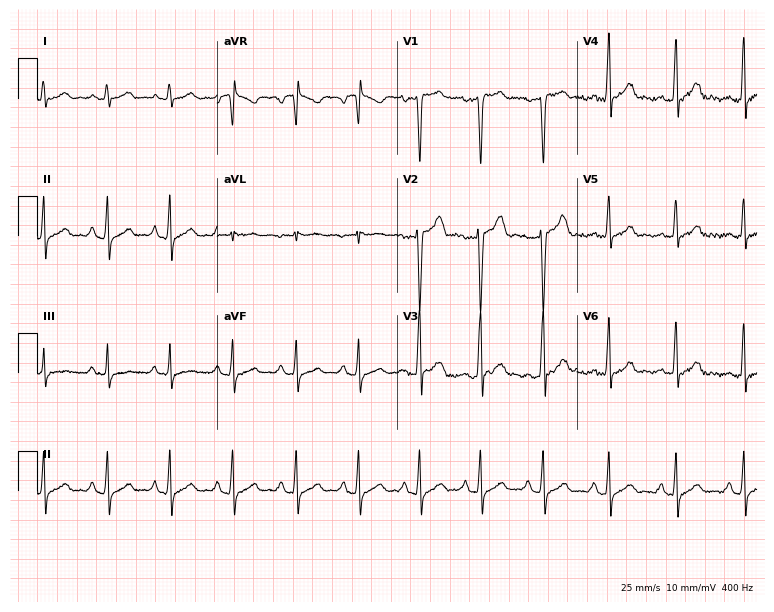
Standard 12-lead ECG recorded from a male, 20 years old. None of these six findings is recorded: first-degree AV block, right bundle branch block (RBBB), left bundle branch block (LBBB), sinus bradycardia, atrial fibrillation (AF), sinus tachycardia. Other findings, if any, are not listed.